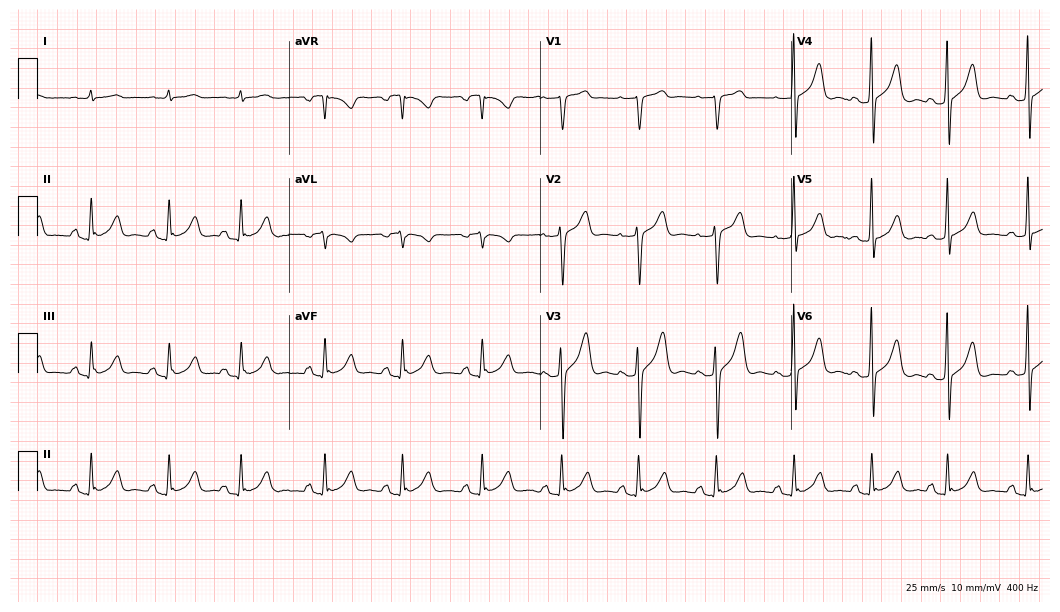
Resting 12-lead electrocardiogram. Patient: a 78-year-old man. Read as a normal ECG.